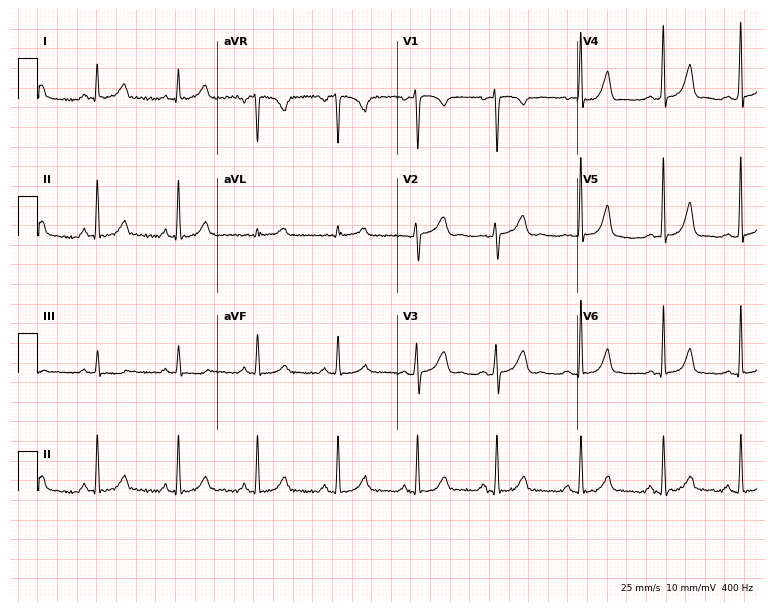
12-lead ECG (7.3-second recording at 400 Hz) from a woman, 21 years old. Screened for six findings — first-degree AV block, right bundle branch block (RBBB), left bundle branch block (LBBB), sinus bradycardia, atrial fibrillation (AF), sinus tachycardia — none is recorded.